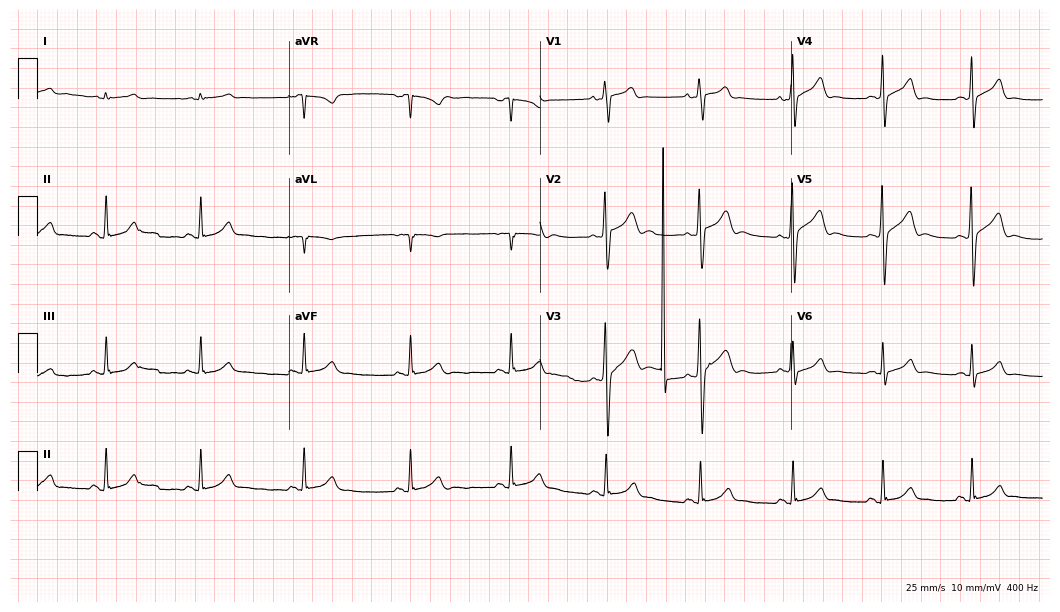
Standard 12-lead ECG recorded from a 21-year-old male patient. Read as a normal ECG.